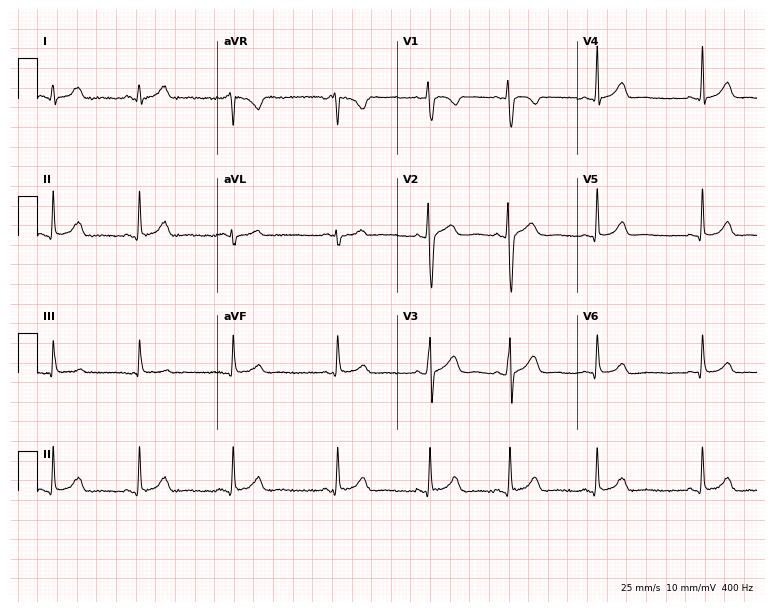
Resting 12-lead electrocardiogram. Patient: a female, 18 years old. Read as a normal ECG.